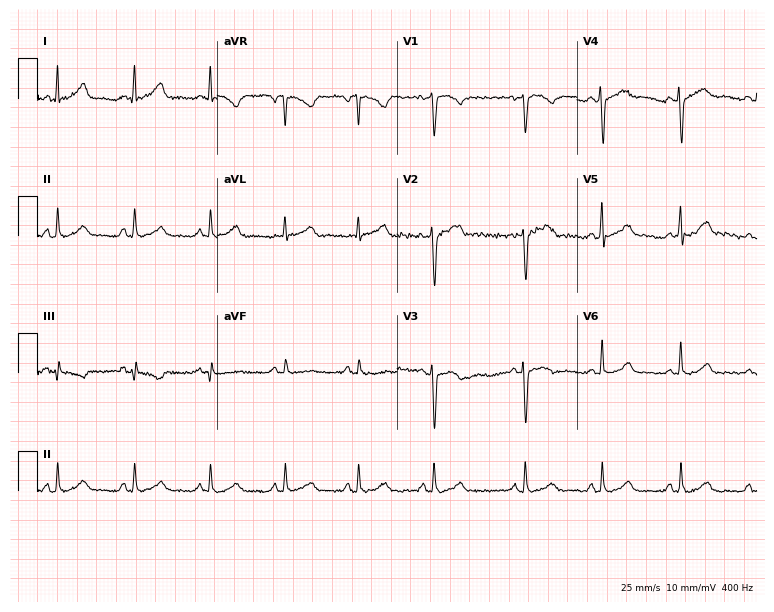
12-lead ECG from a female, 34 years old (7.3-second recording at 400 Hz). Recorded interpretation: within normal limits.